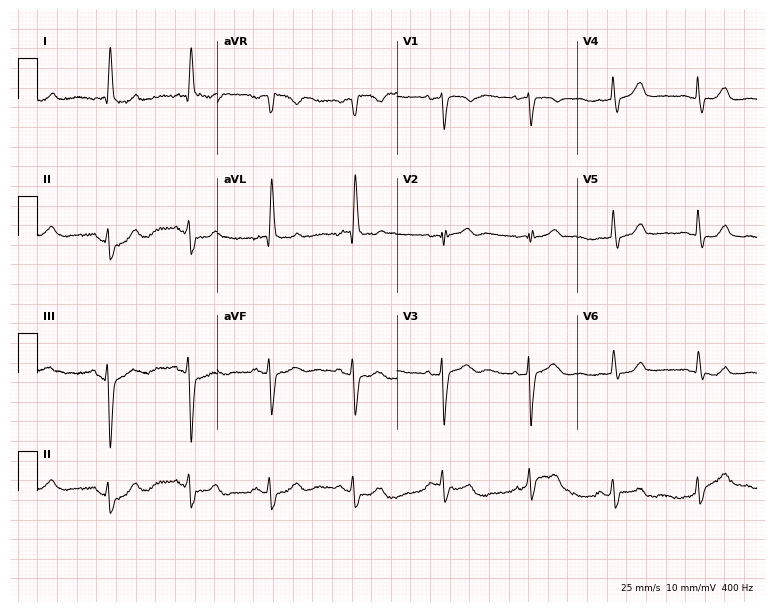
ECG (7.3-second recording at 400 Hz) — a female patient, 83 years old. Screened for six findings — first-degree AV block, right bundle branch block (RBBB), left bundle branch block (LBBB), sinus bradycardia, atrial fibrillation (AF), sinus tachycardia — none is recorded. Findings outside these six are not listed.